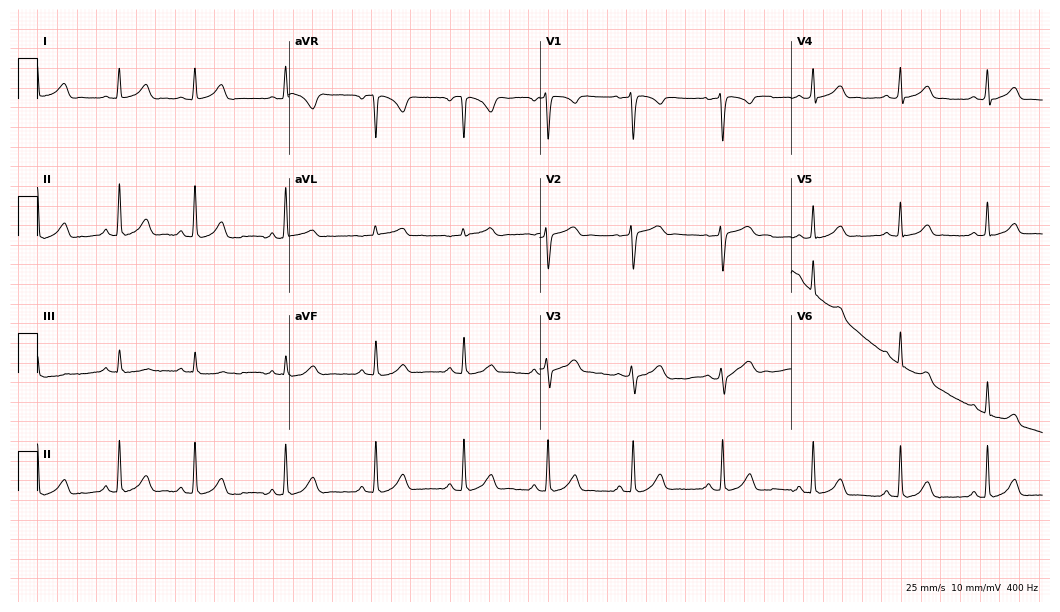
Standard 12-lead ECG recorded from a woman, 36 years old (10.2-second recording at 400 Hz). Read as a normal ECG.